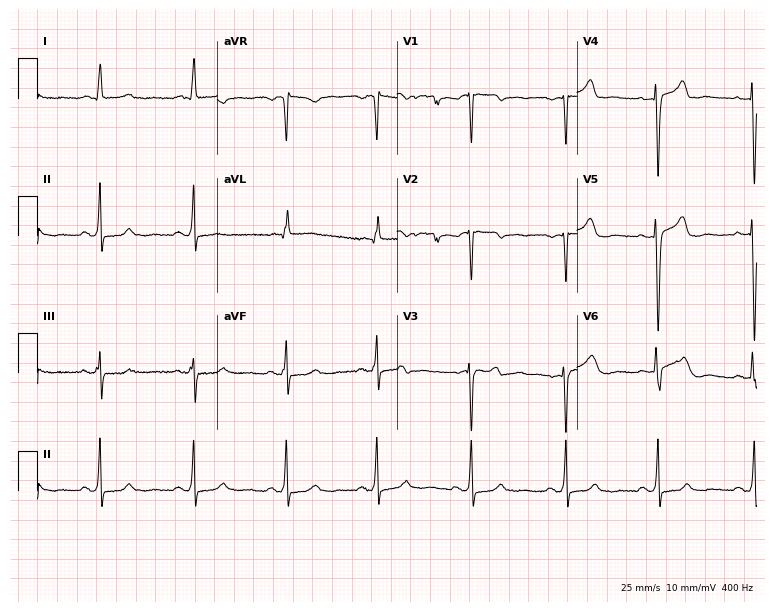
Standard 12-lead ECG recorded from a woman, 50 years old (7.3-second recording at 400 Hz). None of these six findings is recorded: first-degree AV block, right bundle branch block, left bundle branch block, sinus bradycardia, atrial fibrillation, sinus tachycardia. Only these six findings were labelled.